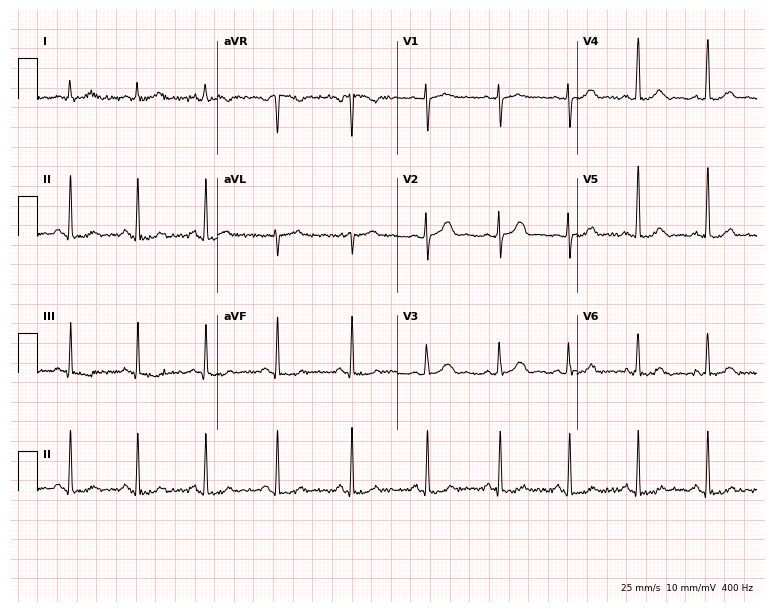
Standard 12-lead ECG recorded from a female, 43 years old. Read as a normal ECG.